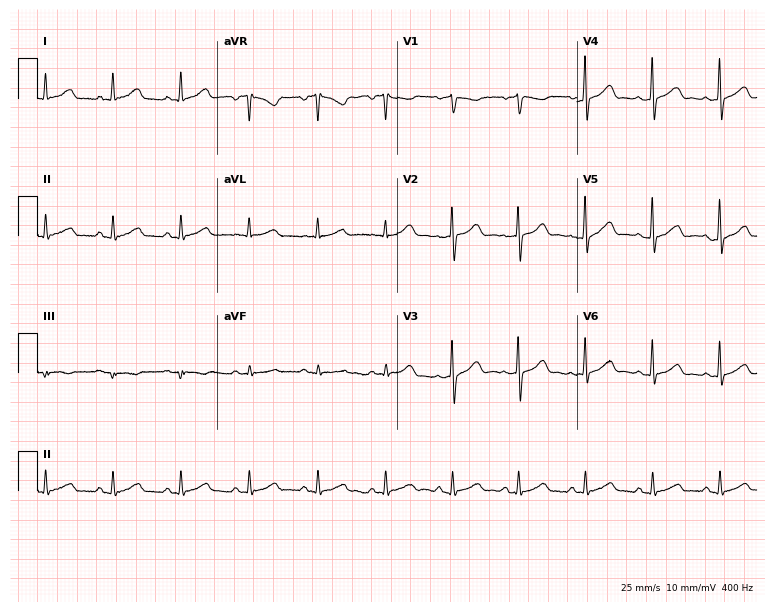
Resting 12-lead electrocardiogram. Patient: a female, 45 years old. None of these six findings is recorded: first-degree AV block, right bundle branch block, left bundle branch block, sinus bradycardia, atrial fibrillation, sinus tachycardia.